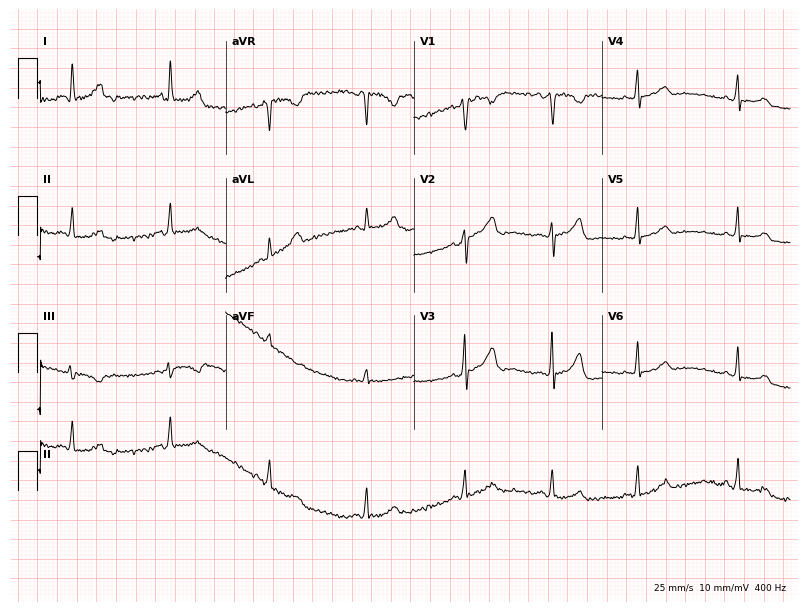
Standard 12-lead ECG recorded from a 28-year-old female (7.7-second recording at 400 Hz). Read as a normal ECG.